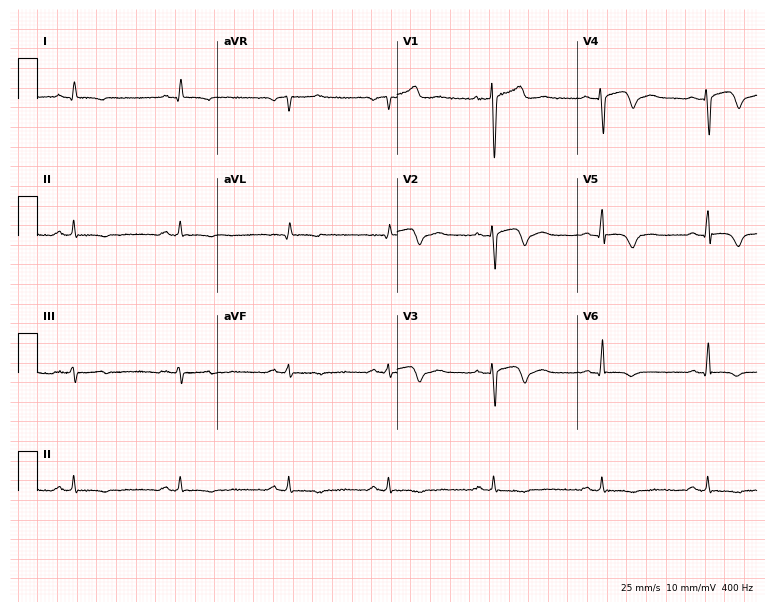
ECG (7.3-second recording at 400 Hz) — a male, 56 years old. Screened for six findings — first-degree AV block, right bundle branch block, left bundle branch block, sinus bradycardia, atrial fibrillation, sinus tachycardia — none is recorded.